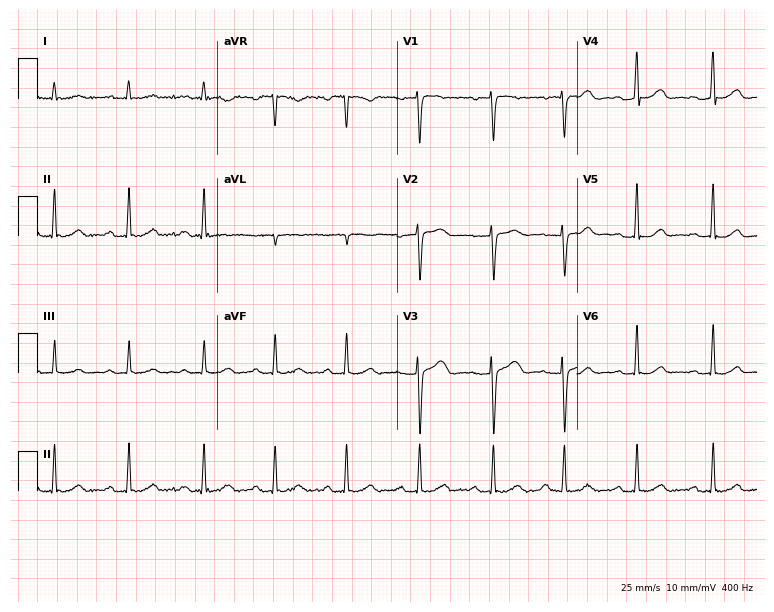
Resting 12-lead electrocardiogram. Patient: a 38-year-old female. None of these six findings is recorded: first-degree AV block, right bundle branch block (RBBB), left bundle branch block (LBBB), sinus bradycardia, atrial fibrillation (AF), sinus tachycardia. Only these six findings were labelled.